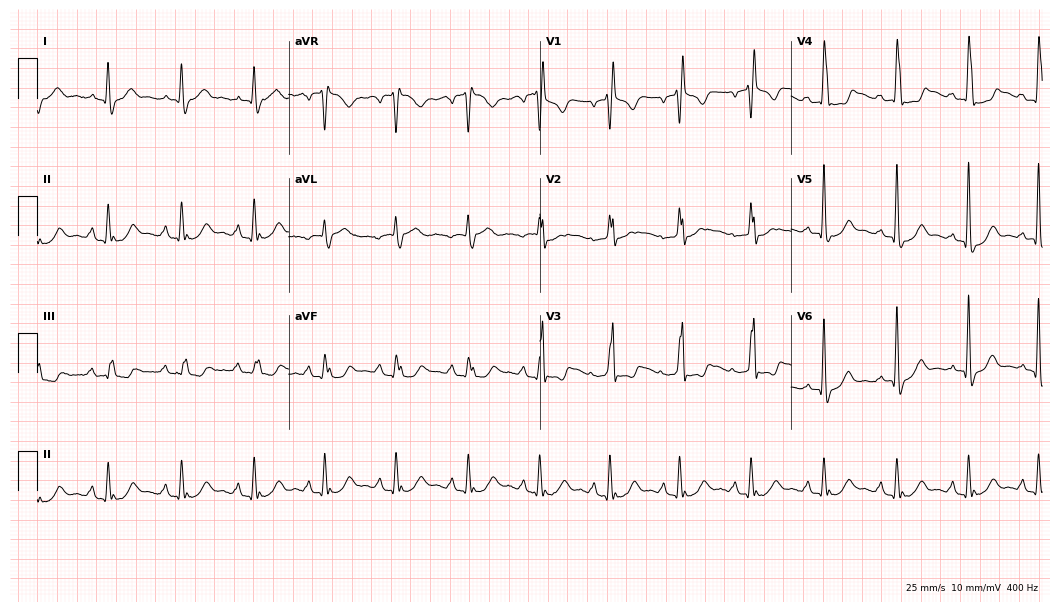
Resting 12-lead electrocardiogram. Patient: a man, 64 years old. None of these six findings is recorded: first-degree AV block, right bundle branch block, left bundle branch block, sinus bradycardia, atrial fibrillation, sinus tachycardia.